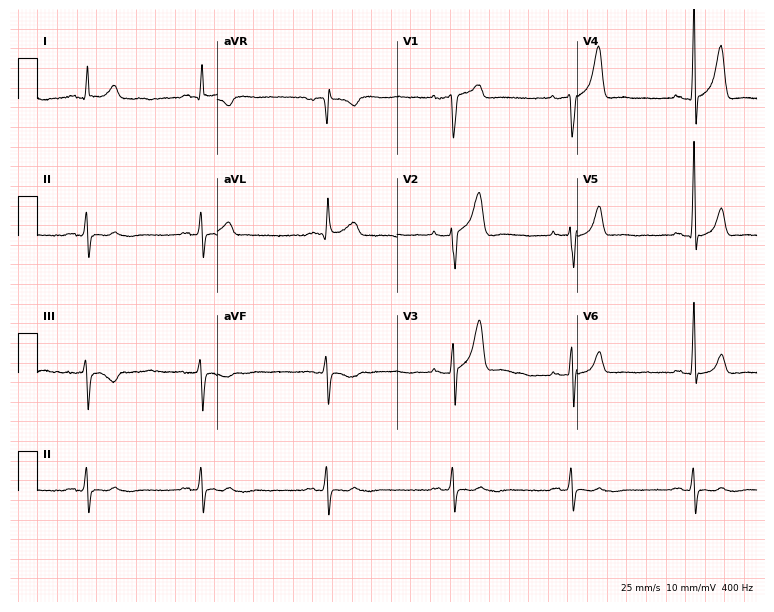
ECG — a 43-year-old man. Findings include sinus bradycardia (a sinus rate of 50 beats per minute or less).